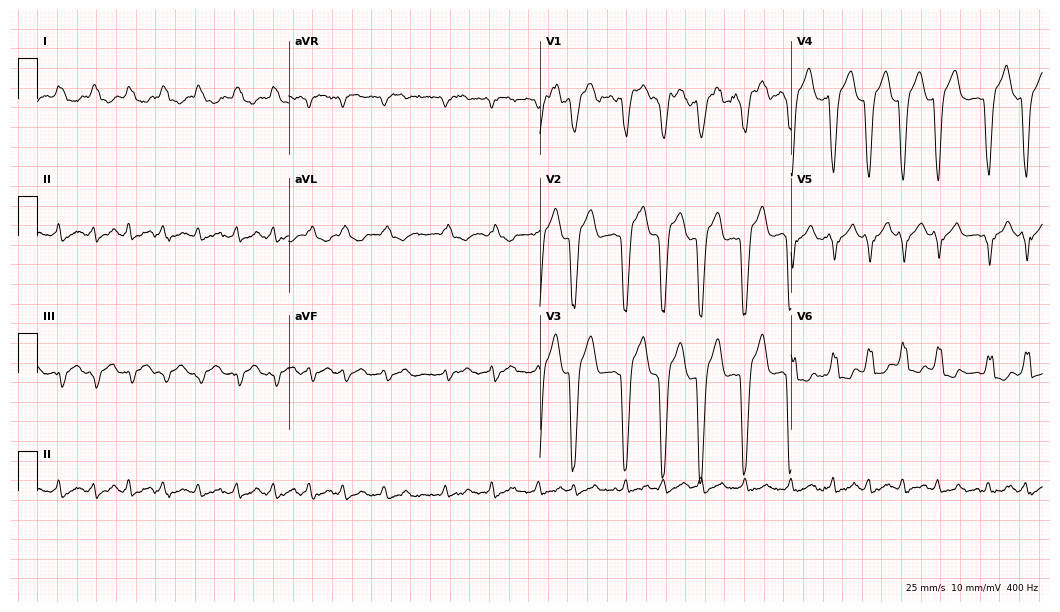
12-lead ECG (10.2-second recording at 400 Hz) from an 82-year-old female patient. Findings include left bundle branch block, atrial fibrillation.